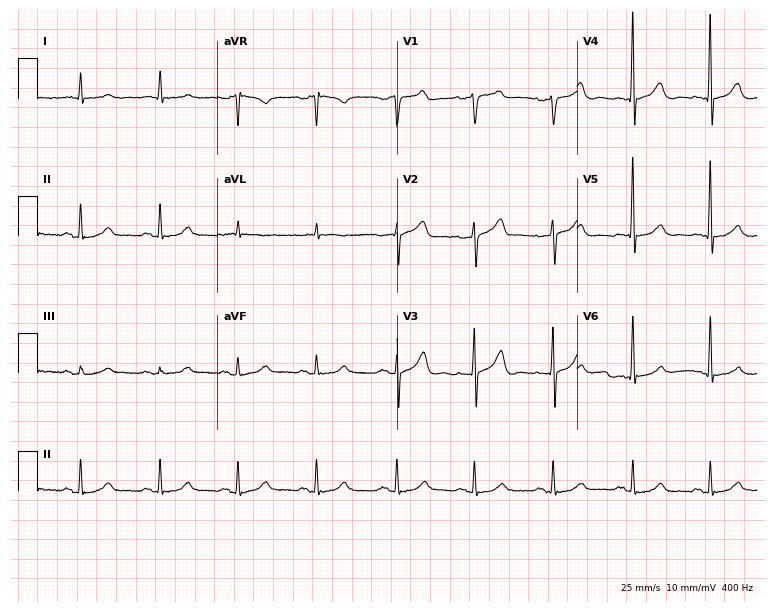
ECG (7.3-second recording at 400 Hz) — a 76-year-old man. Screened for six findings — first-degree AV block, right bundle branch block (RBBB), left bundle branch block (LBBB), sinus bradycardia, atrial fibrillation (AF), sinus tachycardia — none is recorded.